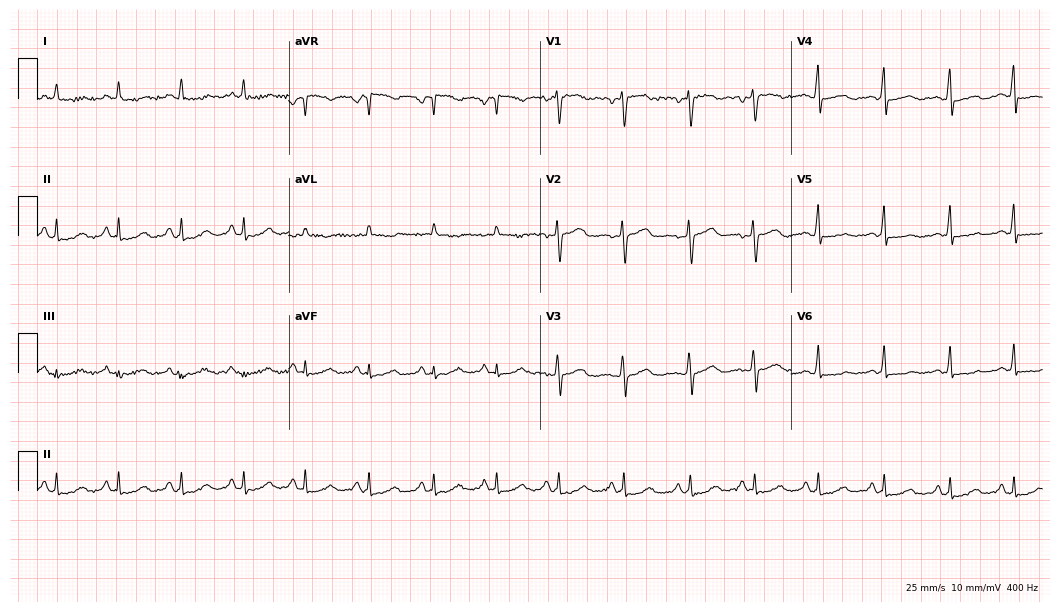
12-lead ECG from a 44-year-old female patient (10.2-second recording at 400 Hz). No first-degree AV block, right bundle branch block, left bundle branch block, sinus bradycardia, atrial fibrillation or sinus tachycardia recorded for this tracing.